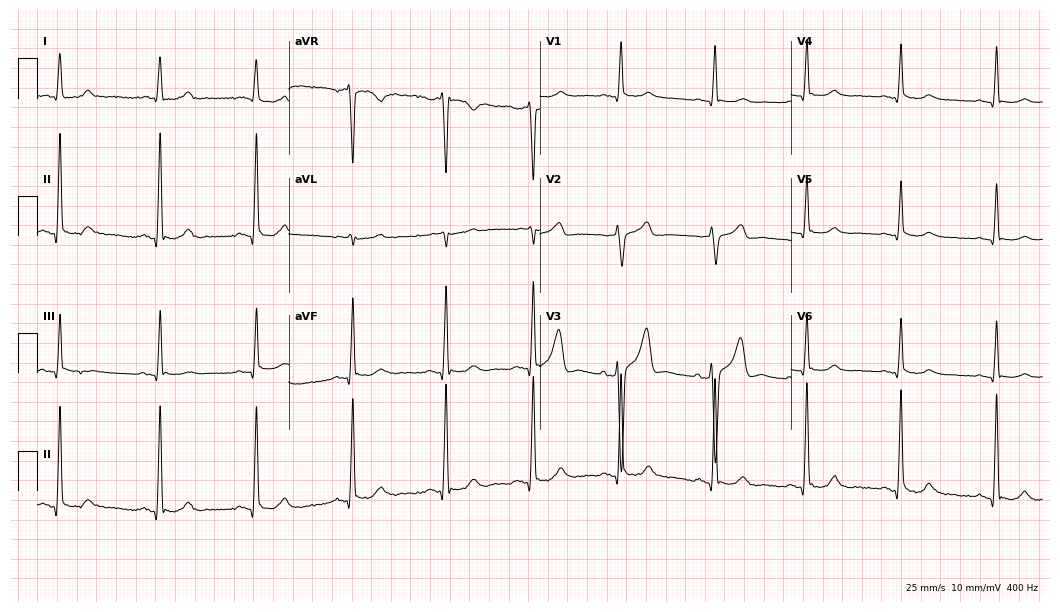
Standard 12-lead ECG recorded from a male patient, 69 years old (10.2-second recording at 400 Hz). Read as a normal ECG.